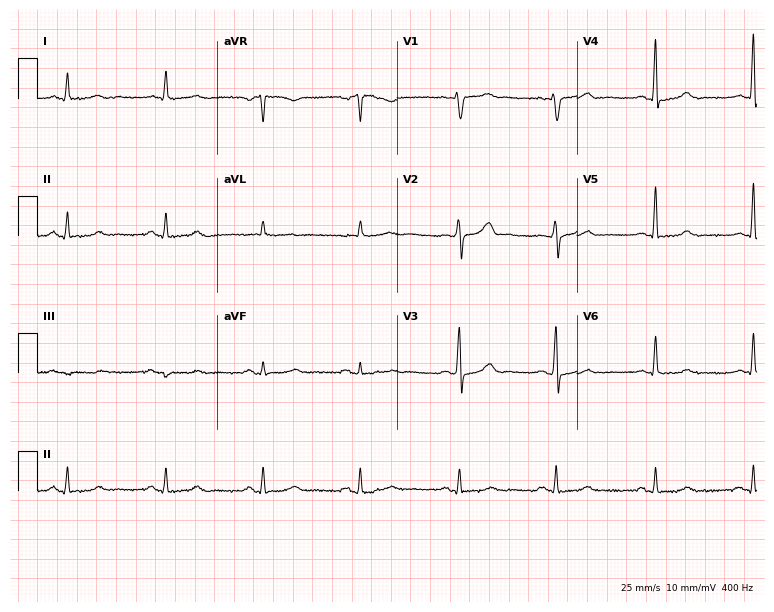
12-lead ECG (7.3-second recording at 400 Hz) from a man, 54 years old. Screened for six findings — first-degree AV block, right bundle branch block, left bundle branch block, sinus bradycardia, atrial fibrillation, sinus tachycardia — none is recorded. Findings outside these six are not listed.